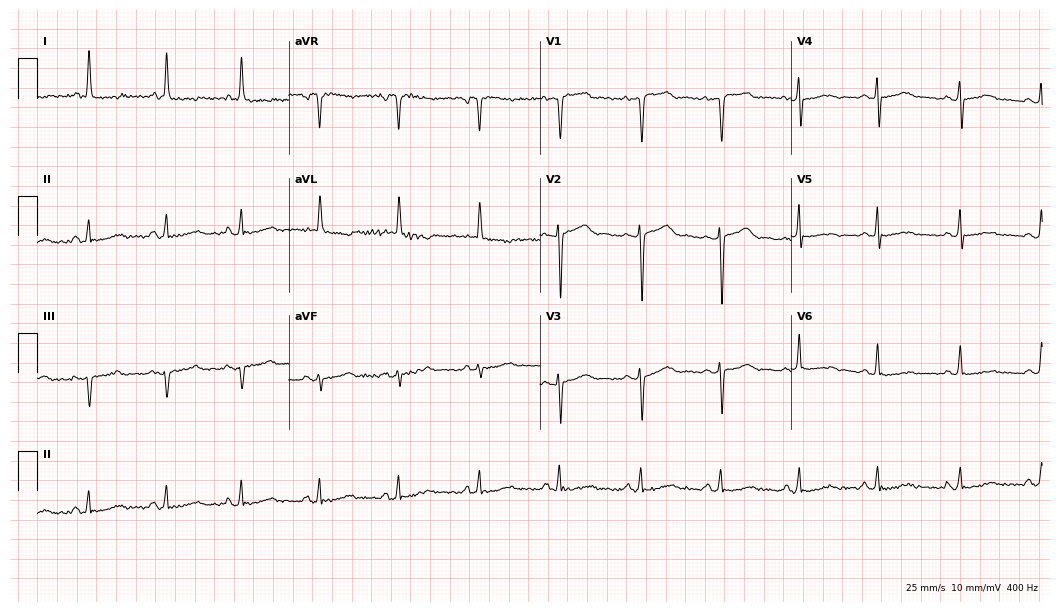
12-lead ECG from a female patient, 82 years old. Screened for six findings — first-degree AV block, right bundle branch block, left bundle branch block, sinus bradycardia, atrial fibrillation, sinus tachycardia — none is recorded.